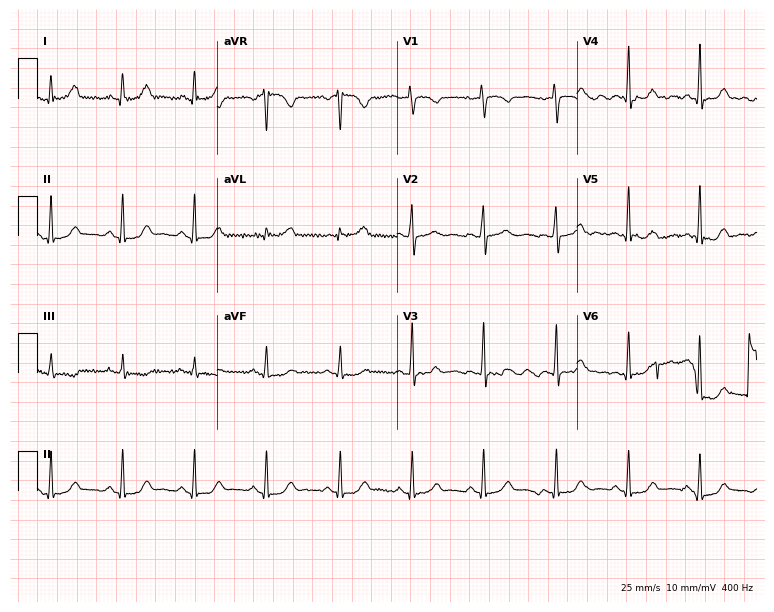
Resting 12-lead electrocardiogram (7.3-second recording at 400 Hz). Patient: a female, 51 years old. Read as a normal ECG.